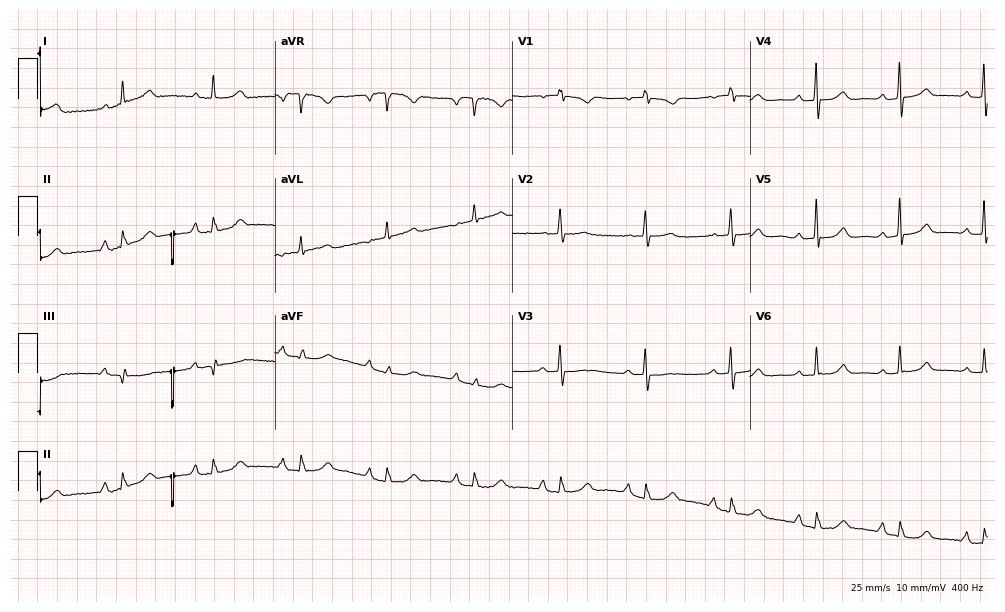
Standard 12-lead ECG recorded from a 77-year-old female patient (9.7-second recording at 400 Hz). Read as a normal ECG.